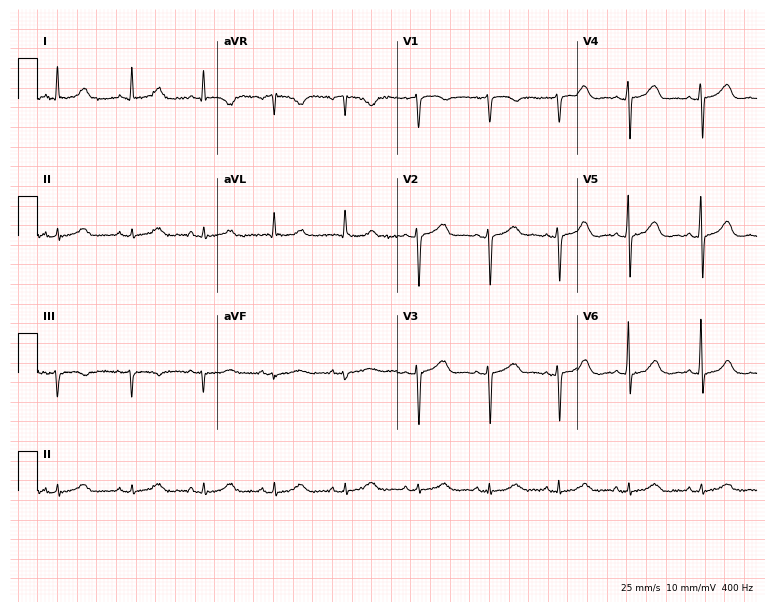
Standard 12-lead ECG recorded from a 69-year-old woman (7.3-second recording at 400 Hz). None of these six findings is recorded: first-degree AV block, right bundle branch block (RBBB), left bundle branch block (LBBB), sinus bradycardia, atrial fibrillation (AF), sinus tachycardia. Other findings, if any, are not listed.